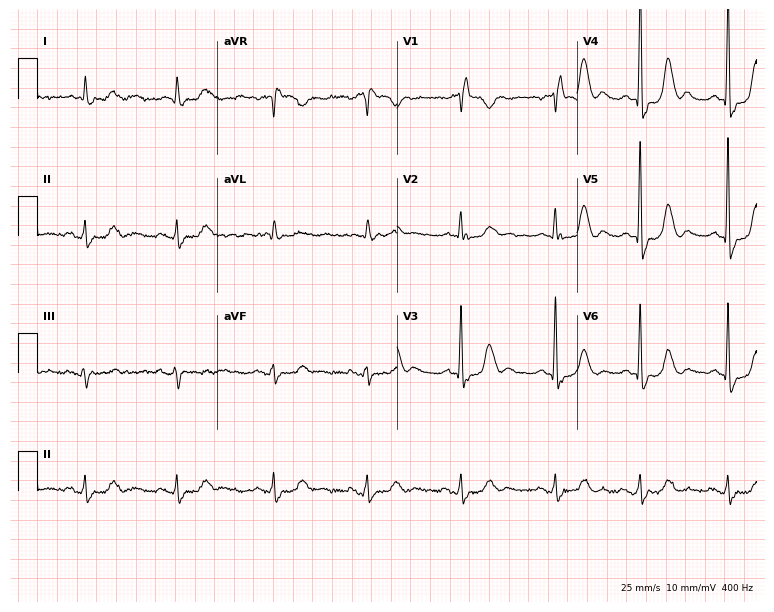
Resting 12-lead electrocardiogram. Patient: a 78-year-old female. The tracing shows right bundle branch block.